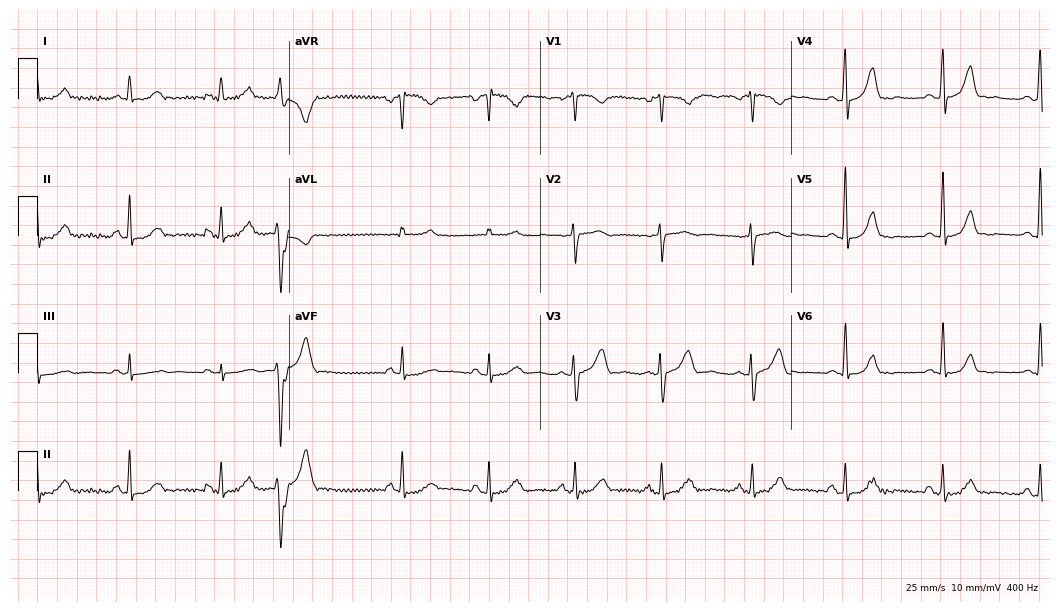
Standard 12-lead ECG recorded from a female patient, 41 years old. None of these six findings is recorded: first-degree AV block, right bundle branch block, left bundle branch block, sinus bradycardia, atrial fibrillation, sinus tachycardia.